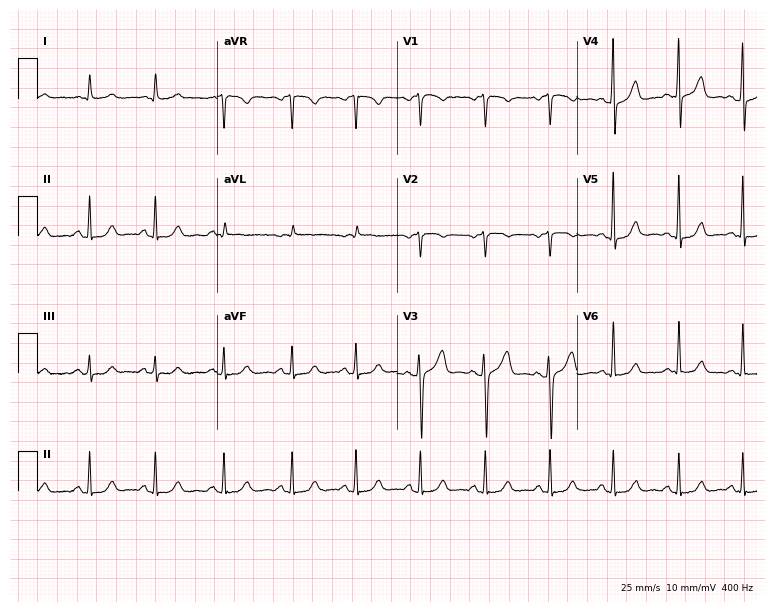
Electrocardiogram, a female patient, 73 years old. Overall reading on record: normal ECG.